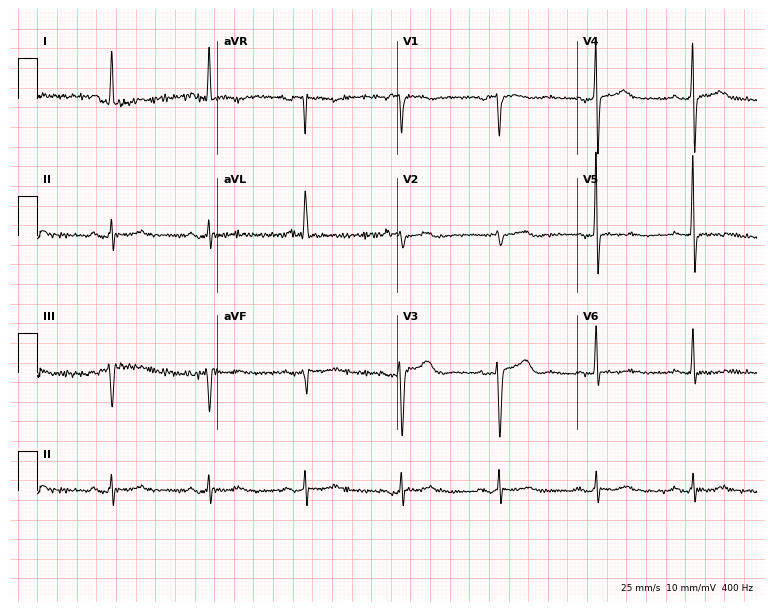
Standard 12-lead ECG recorded from a female, 70 years old. None of these six findings is recorded: first-degree AV block, right bundle branch block, left bundle branch block, sinus bradycardia, atrial fibrillation, sinus tachycardia. Other findings, if any, are not listed.